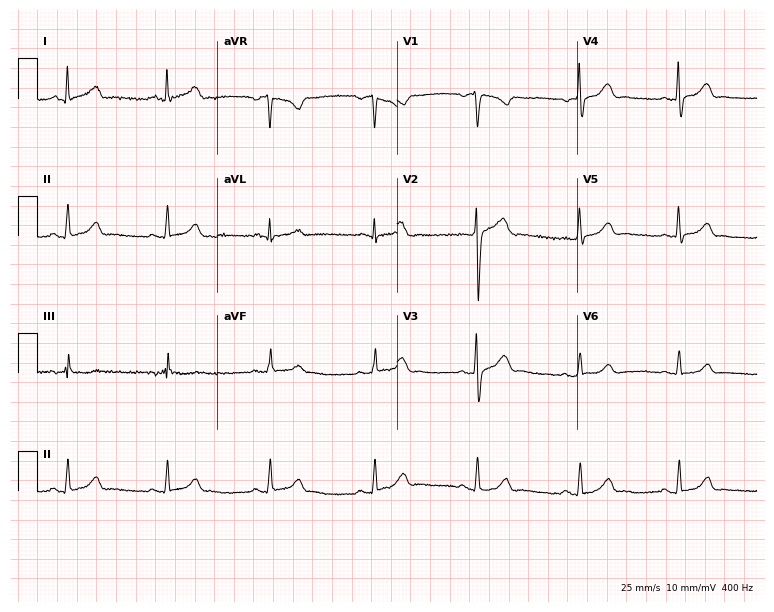
Standard 12-lead ECG recorded from a 40-year-old male (7.3-second recording at 400 Hz). None of these six findings is recorded: first-degree AV block, right bundle branch block, left bundle branch block, sinus bradycardia, atrial fibrillation, sinus tachycardia. Only these six findings were labelled.